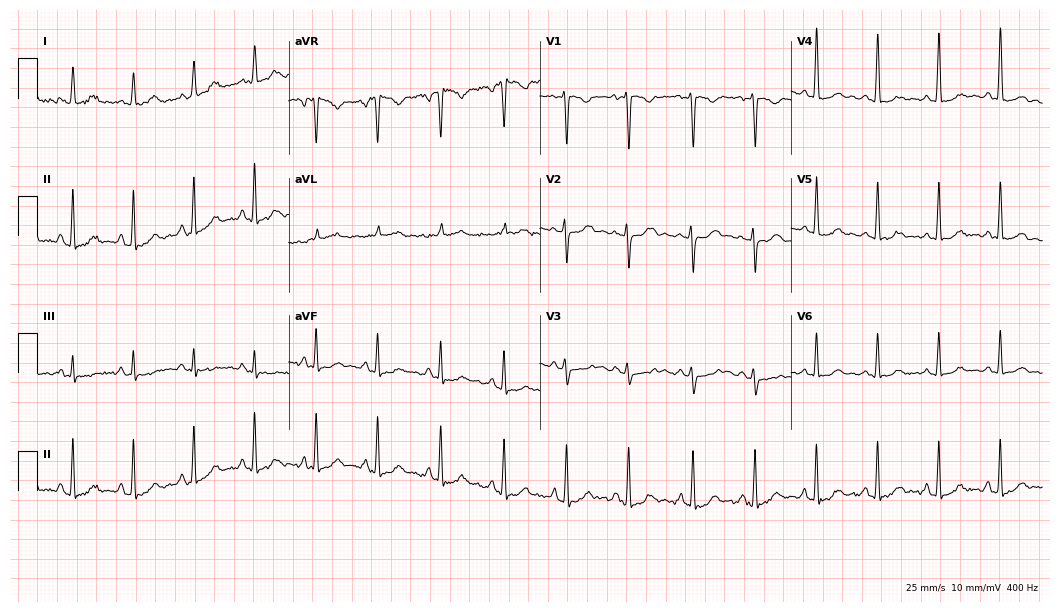
12-lead ECG from a 29-year-old female. Recorded interpretation: within normal limits.